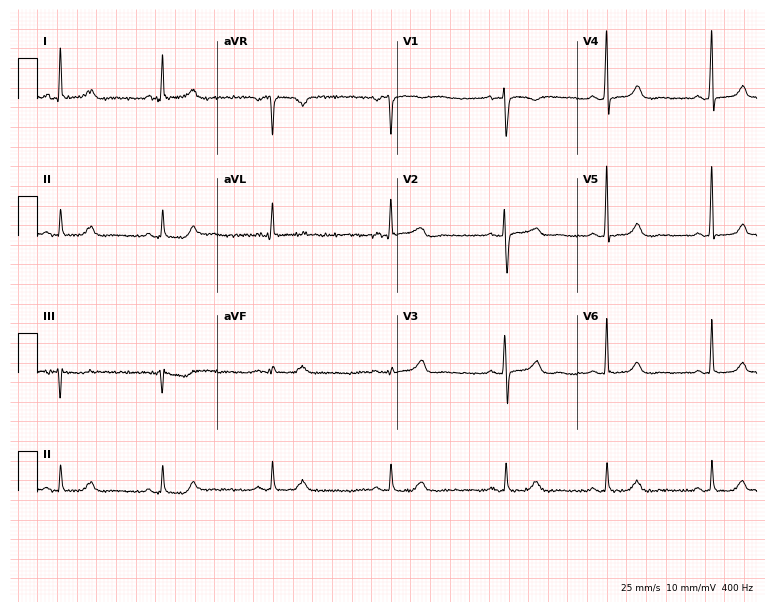
Resting 12-lead electrocardiogram (7.3-second recording at 400 Hz). Patient: a 49-year-old female. None of these six findings is recorded: first-degree AV block, right bundle branch block, left bundle branch block, sinus bradycardia, atrial fibrillation, sinus tachycardia. Only these six findings were labelled.